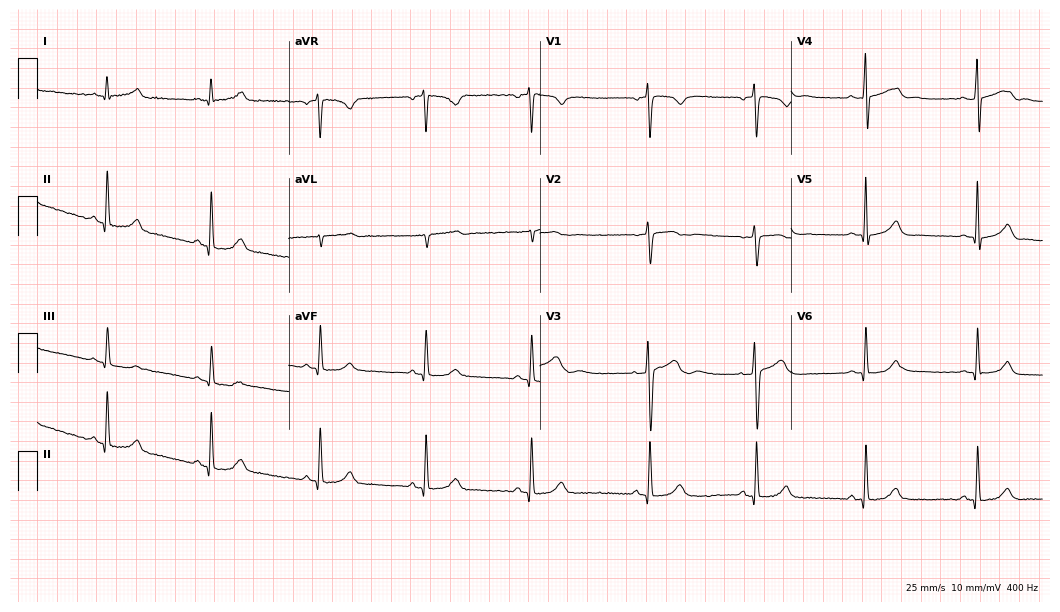
12-lead ECG from a woman, 40 years old. Screened for six findings — first-degree AV block, right bundle branch block (RBBB), left bundle branch block (LBBB), sinus bradycardia, atrial fibrillation (AF), sinus tachycardia — none is recorded. Findings outside these six are not listed.